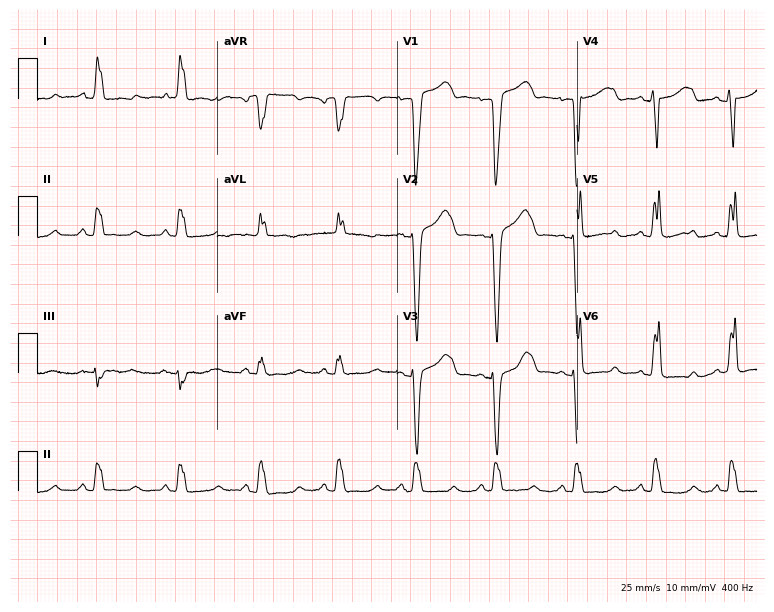
Resting 12-lead electrocardiogram. Patient: a 68-year-old female. None of these six findings is recorded: first-degree AV block, right bundle branch block, left bundle branch block, sinus bradycardia, atrial fibrillation, sinus tachycardia.